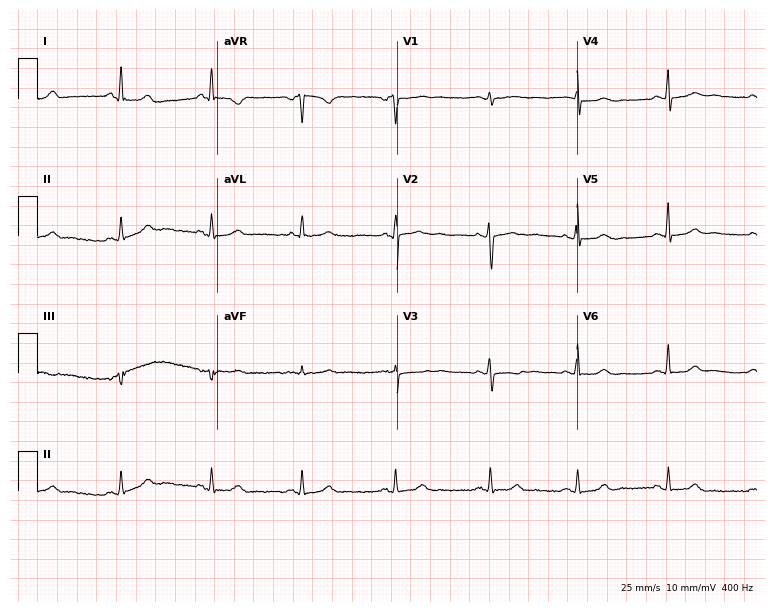
12-lead ECG from a female patient, 61 years old (7.3-second recording at 400 Hz). No first-degree AV block, right bundle branch block, left bundle branch block, sinus bradycardia, atrial fibrillation or sinus tachycardia recorded for this tracing.